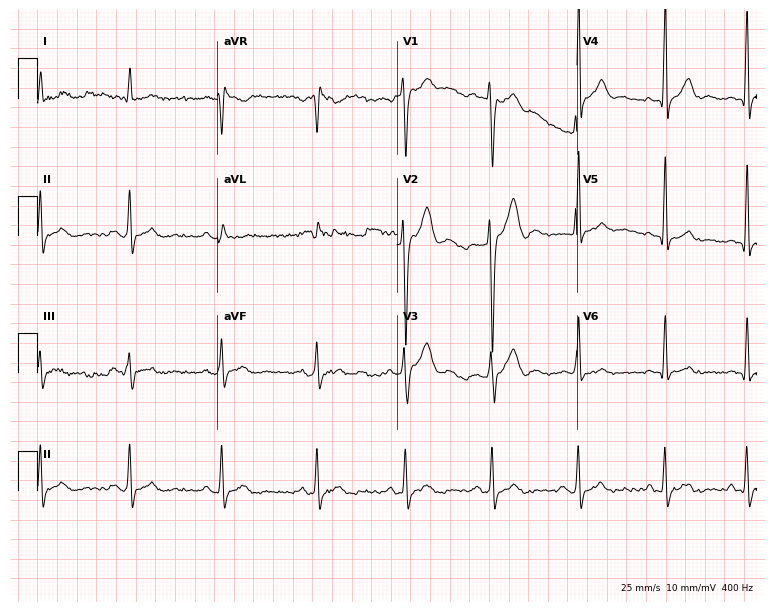
12-lead ECG from a male patient, 21 years old (7.3-second recording at 400 Hz). No first-degree AV block, right bundle branch block, left bundle branch block, sinus bradycardia, atrial fibrillation or sinus tachycardia recorded for this tracing.